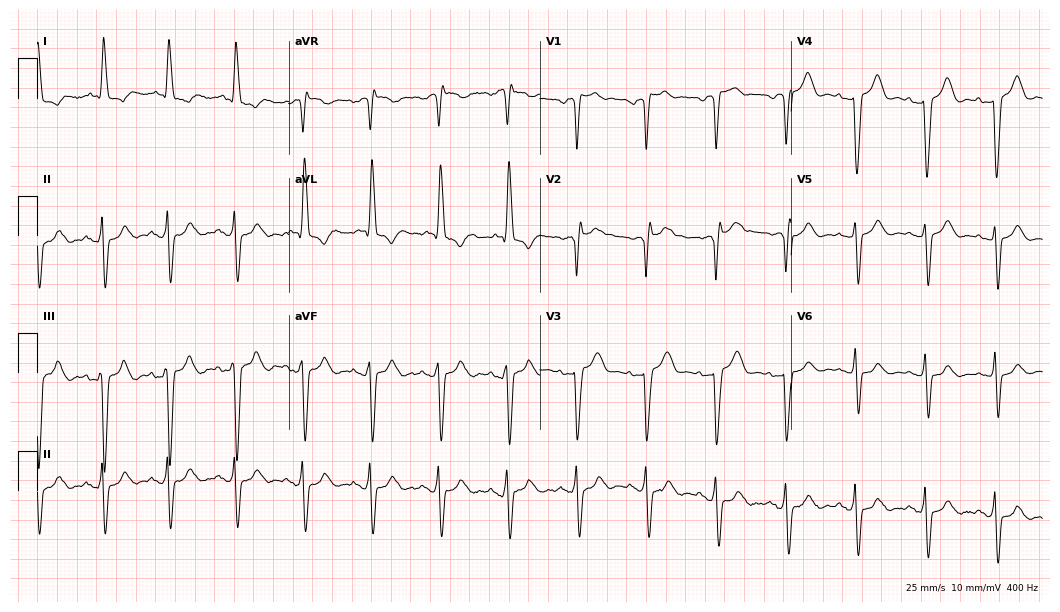
12-lead ECG from an 80-year-old female. Findings include left bundle branch block.